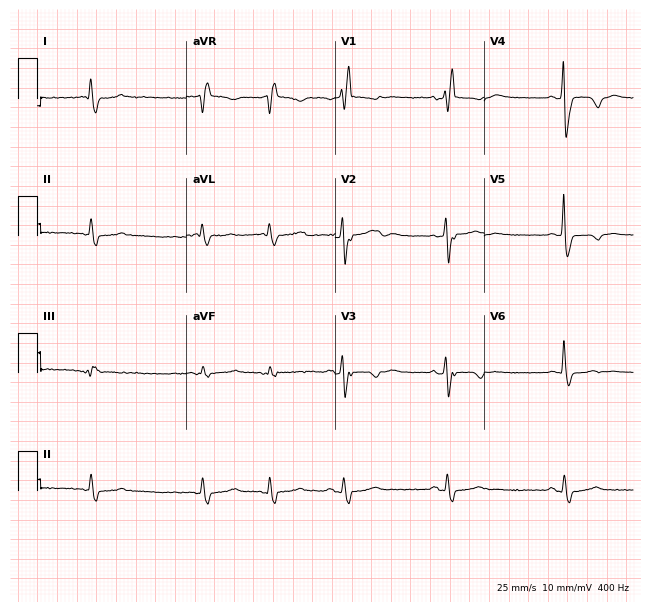
ECG (6.1-second recording at 400 Hz) — a female patient, 75 years old. Screened for six findings — first-degree AV block, right bundle branch block, left bundle branch block, sinus bradycardia, atrial fibrillation, sinus tachycardia — none is recorded.